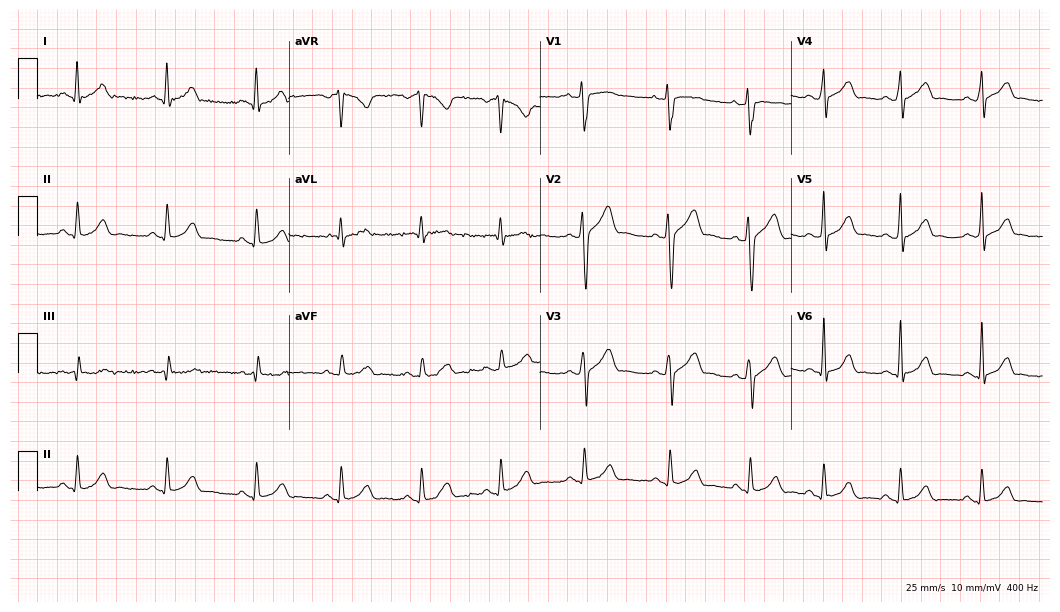
Electrocardiogram (10.2-second recording at 400 Hz), a 39-year-old man. Overall reading on record: normal ECG.